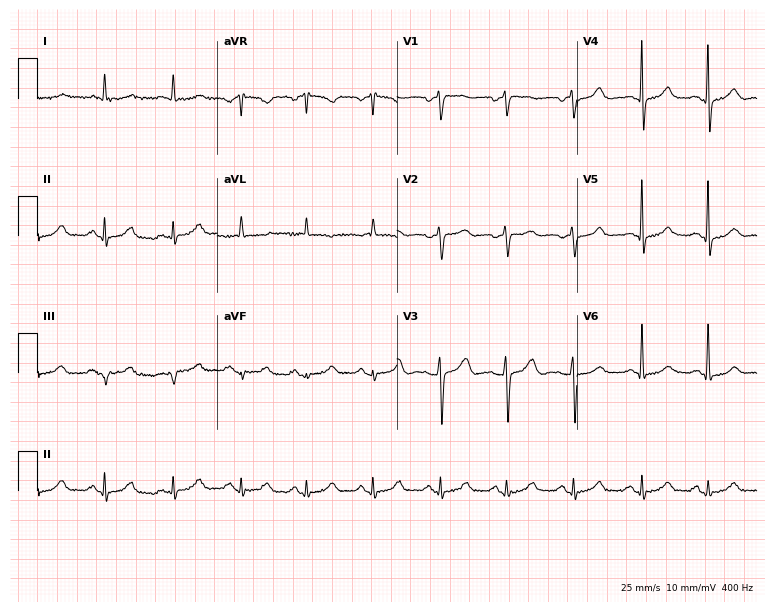
Resting 12-lead electrocardiogram (7.3-second recording at 400 Hz). Patient: a 72-year-old woman. None of these six findings is recorded: first-degree AV block, right bundle branch block, left bundle branch block, sinus bradycardia, atrial fibrillation, sinus tachycardia.